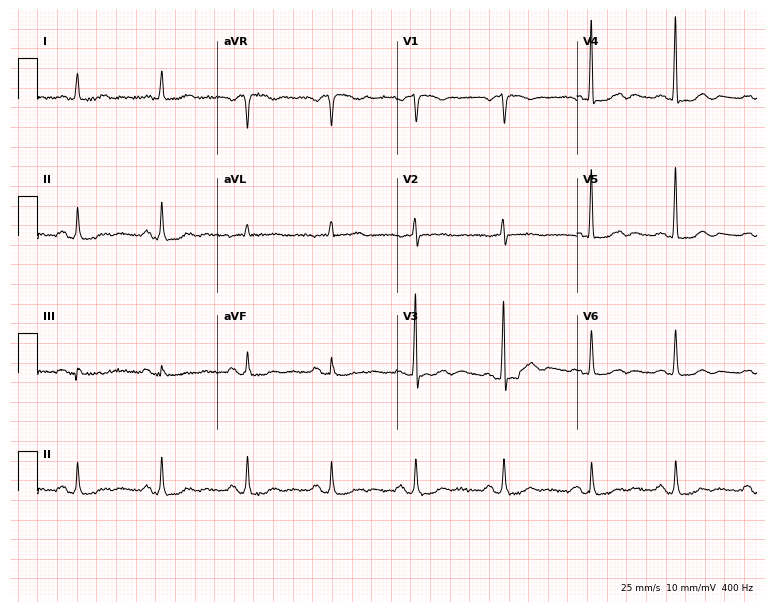
Electrocardiogram, a female, 77 years old. Of the six screened findings (first-degree AV block, right bundle branch block, left bundle branch block, sinus bradycardia, atrial fibrillation, sinus tachycardia), none is recorded.